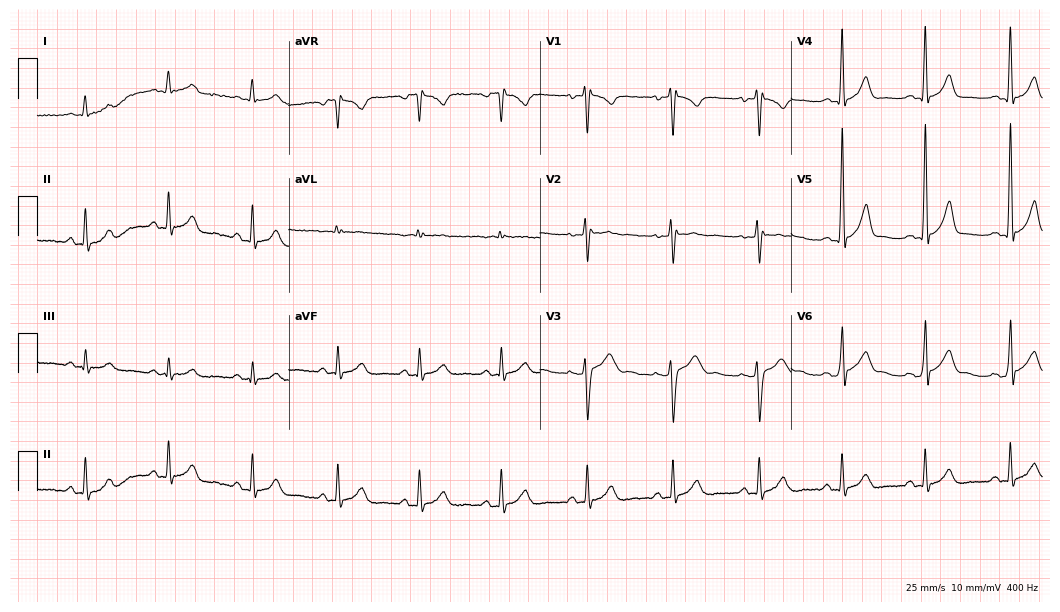
Resting 12-lead electrocardiogram (10.2-second recording at 400 Hz). Patient: a 34-year-old male. Read as a normal ECG.